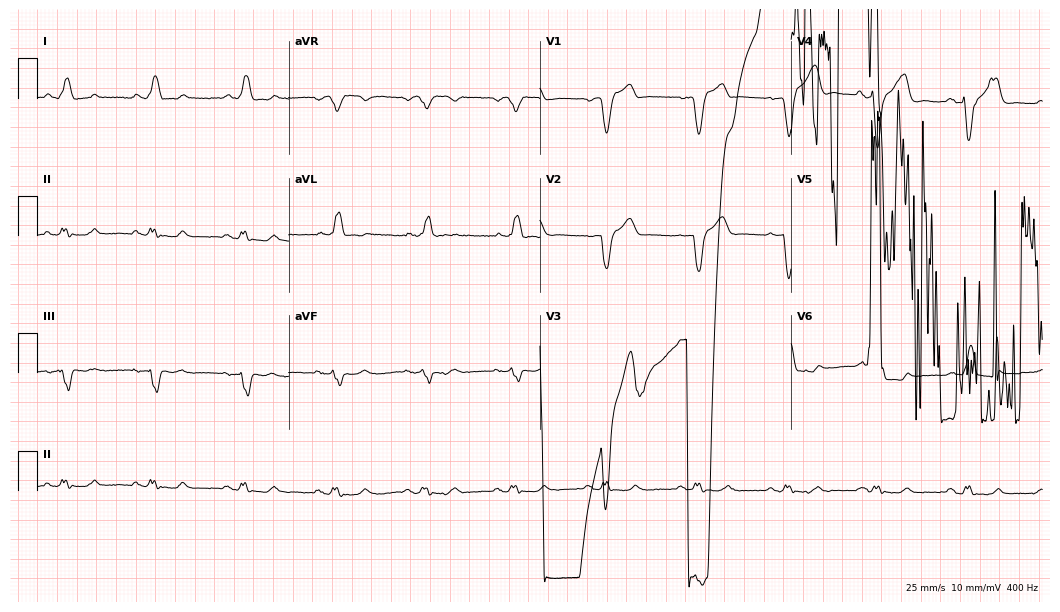
Standard 12-lead ECG recorded from a male, 78 years old (10.2-second recording at 400 Hz). None of these six findings is recorded: first-degree AV block, right bundle branch block, left bundle branch block, sinus bradycardia, atrial fibrillation, sinus tachycardia.